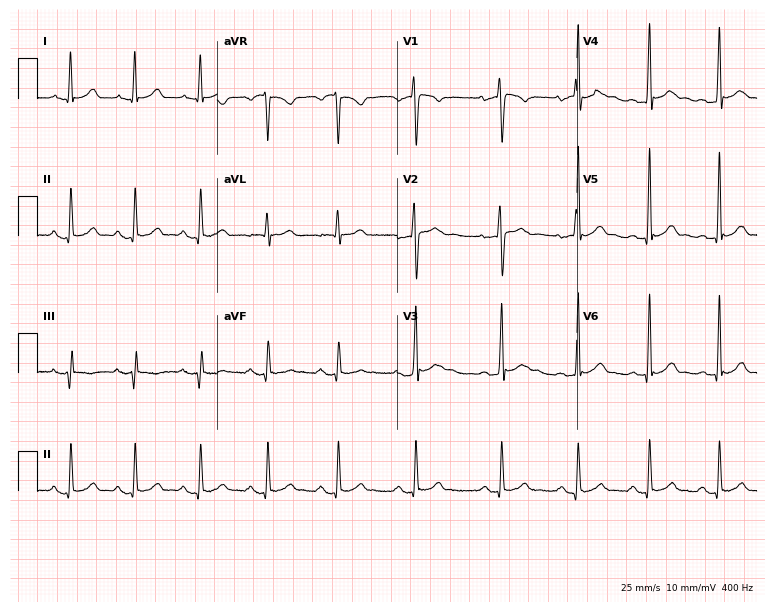
12-lead ECG from a 25-year-old man (7.3-second recording at 400 Hz). Recorded interpretation: within normal limits.